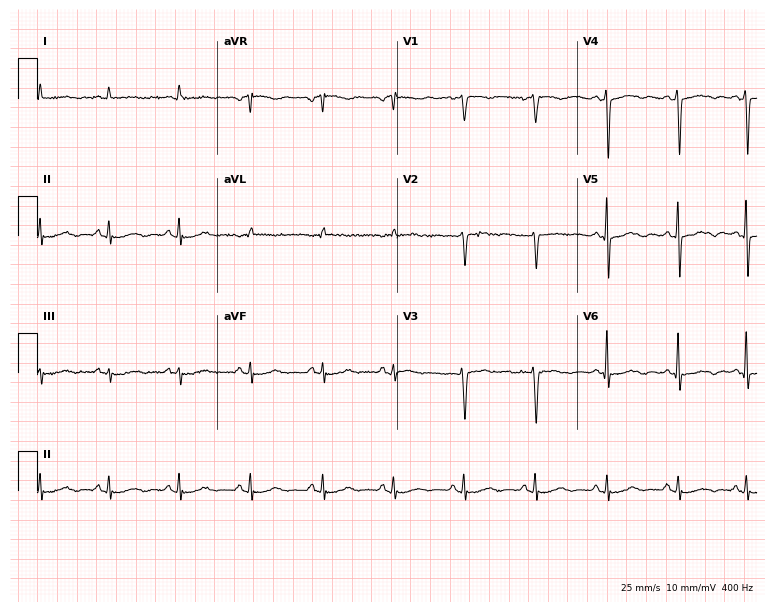
Standard 12-lead ECG recorded from a female patient, 56 years old. None of these six findings is recorded: first-degree AV block, right bundle branch block, left bundle branch block, sinus bradycardia, atrial fibrillation, sinus tachycardia. Other findings, if any, are not listed.